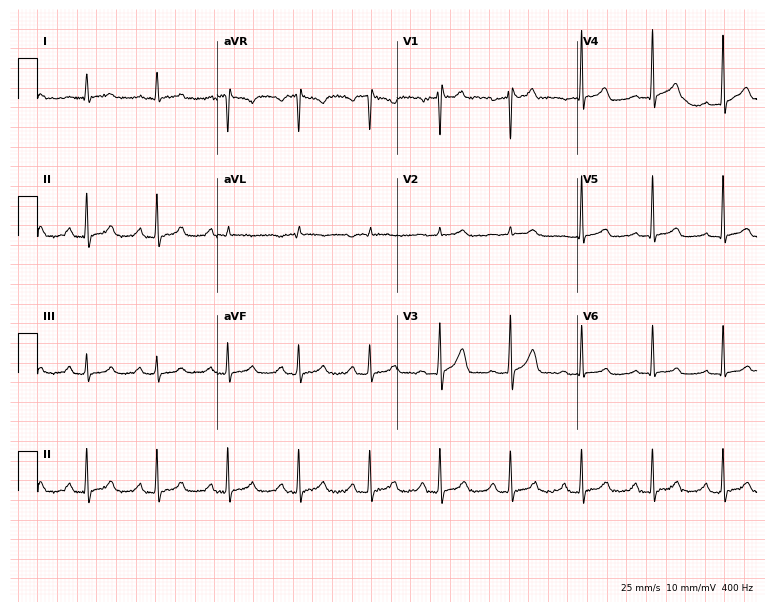
12-lead ECG from a 57-year-old male. Labelled as a normal ECG.